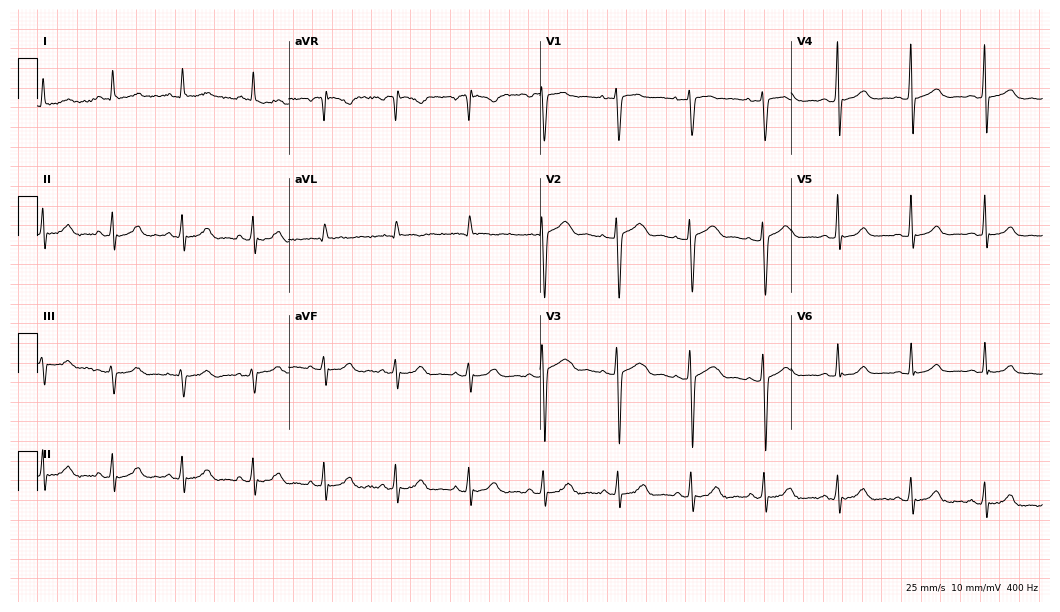
Standard 12-lead ECG recorded from a 52-year-old woman (10.2-second recording at 400 Hz). Read as a normal ECG.